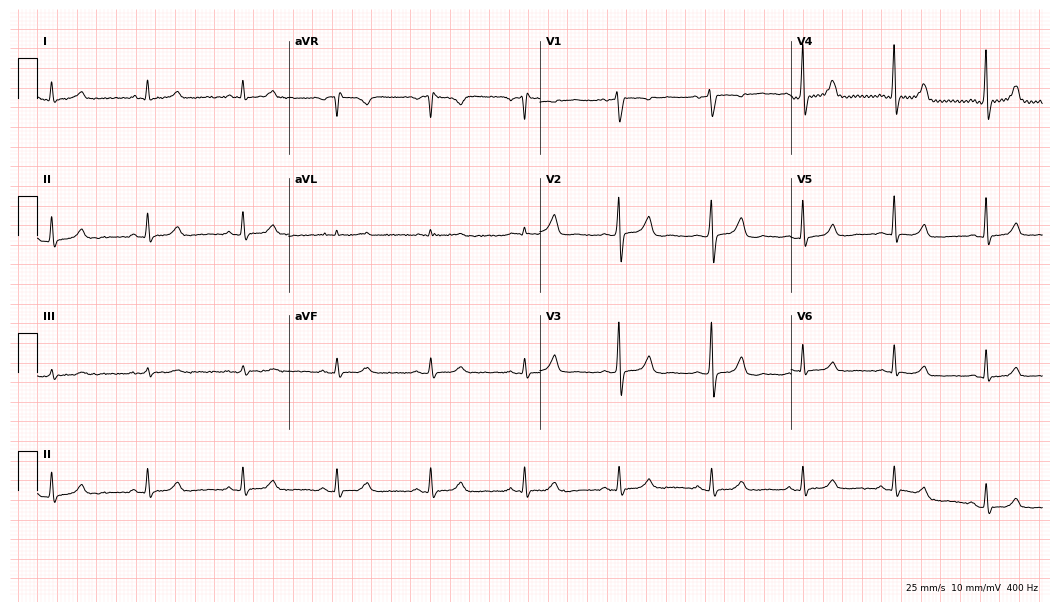
12-lead ECG from a man, 65 years old. Labelled as a normal ECG.